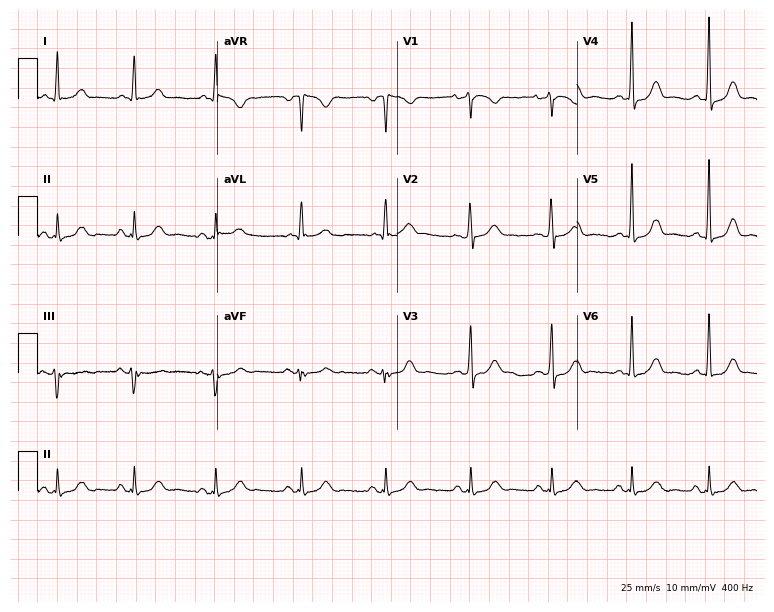
Standard 12-lead ECG recorded from a female patient, 67 years old. None of these six findings is recorded: first-degree AV block, right bundle branch block, left bundle branch block, sinus bradycardia, atrial fibrillation, sinus tachycardia. Only these six findings were labelled.